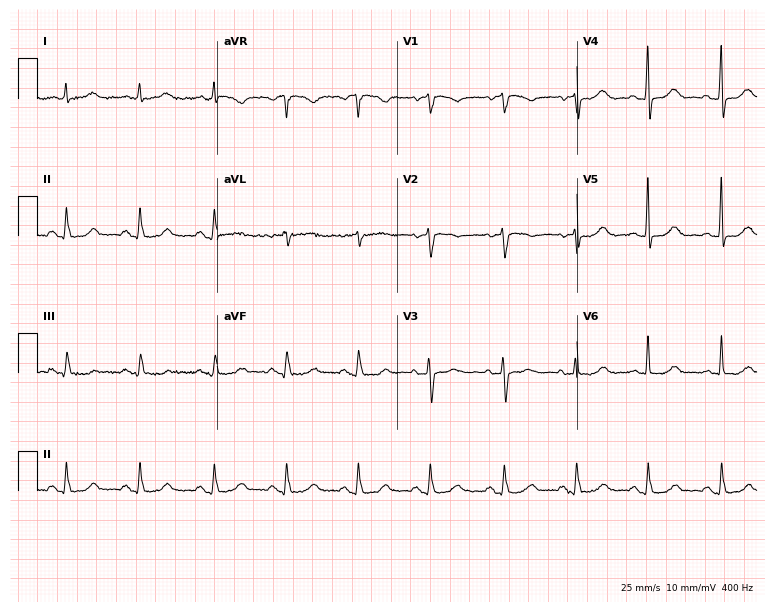
12-lead ECG from an 84-year-old woman (7.3-second recording at 400 Hz). No first-degree AV block, right bundle branch block (RBBB), left bundle branch block (LBBB), sinus bradycardia, atrial fibrillation (AF) or sinus tachycardia recorded for this tracing.